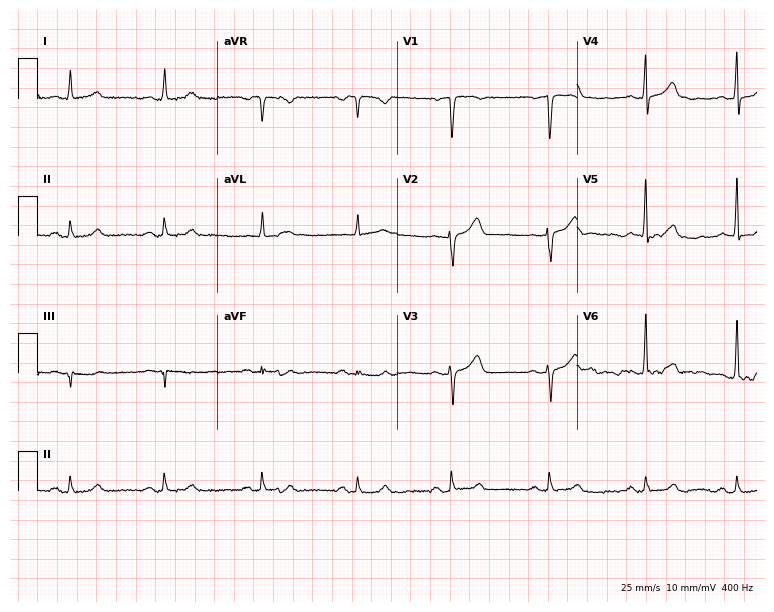
12-lead ECG from a female patient, 52 years old. Recorded interpretation: within normal limits.